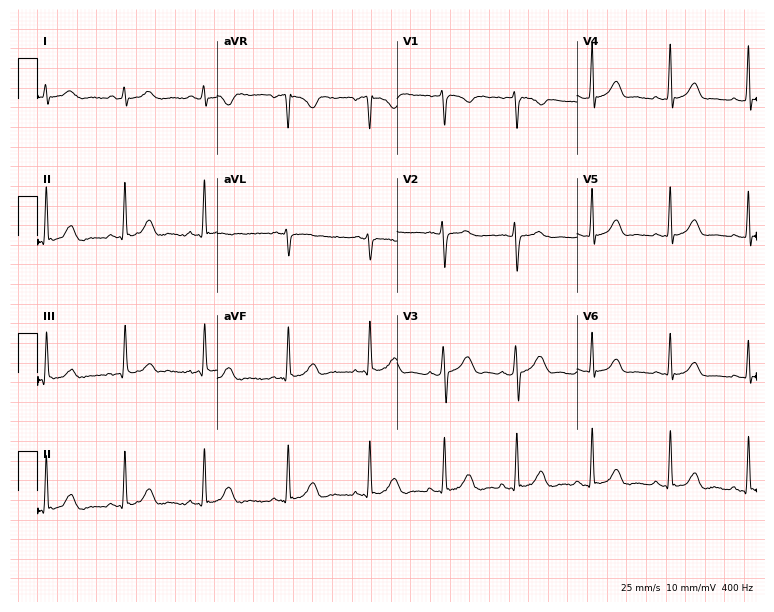
12-lead ECG (7.3-second recording at 400 Hz) from a 20-year-old woman. Screened for six findings — first-degree AV block, right bundle branch block (RBBB), left bundle branch block (LBBB), sinus bradycardia, atrial fibrillation (AF), sinus tachycardia — none is recorded. Findings outside these six are not listed.